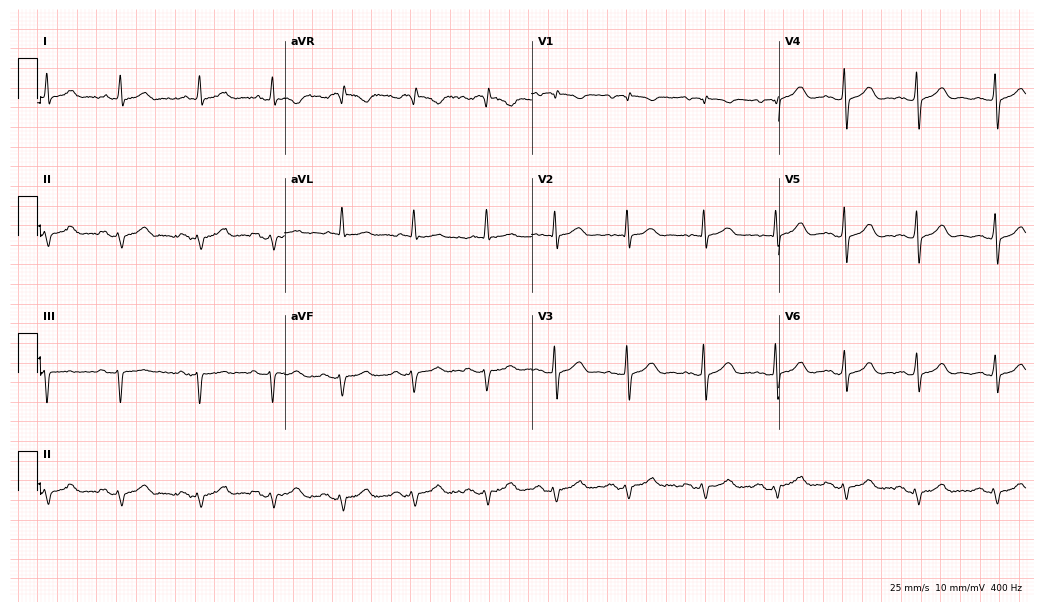
Resting 12-lead electrocardiogram. Patient: a male, 68 years old. None of these six findings is recorded: first-degree AV block, right bundle branch block, left bundle branch block, sinus bradycardia, atrial fibrillation, sinus tachycardia.